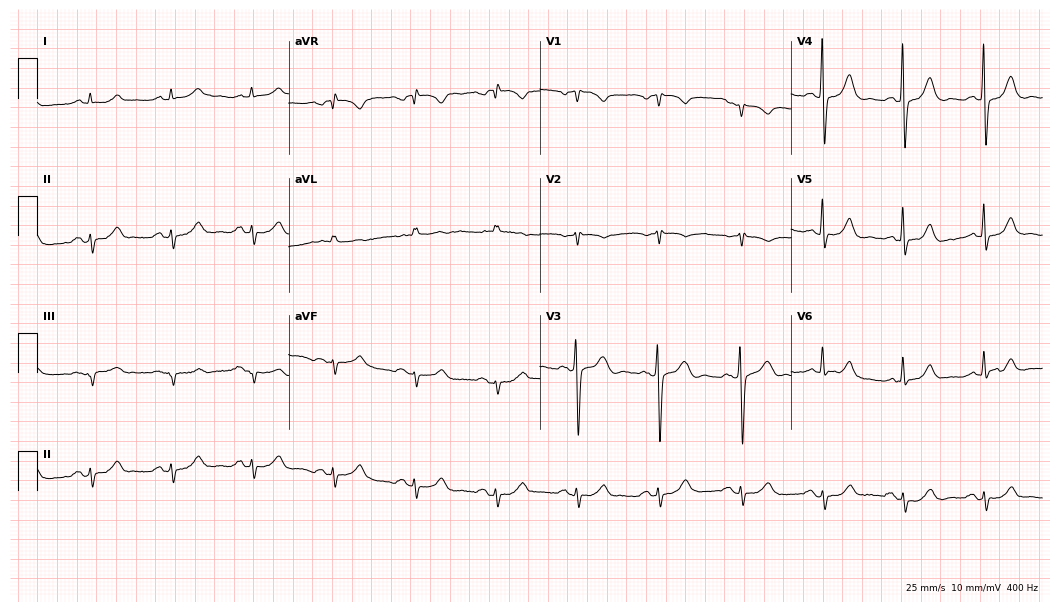
Standard 12-lead ECG recorded from a male, 77 years old. None of these six findings is recorded: first-degree AV block, right bundle branch block, left bundle branch block, sinus bradycardia, atrial fibrillation, sinus tachycardia. Other findings, if any, are not listed.